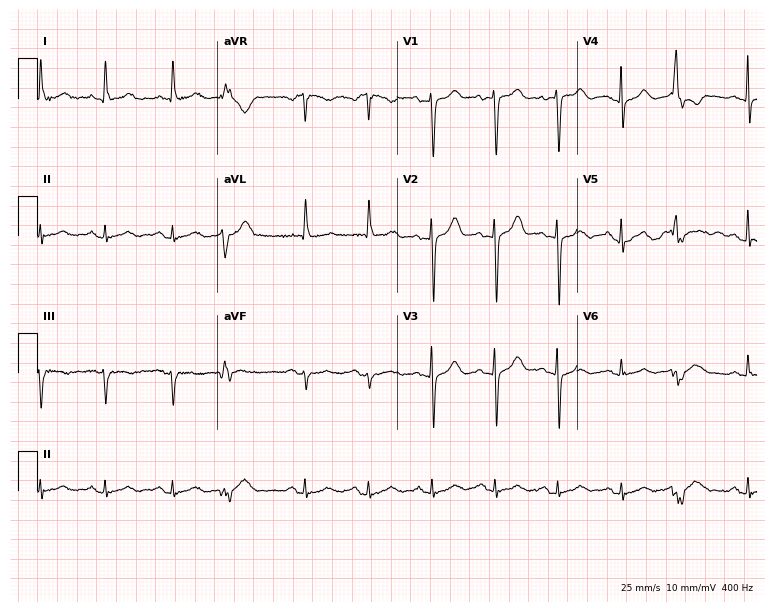
Standard 12-lead ECG recorded from a 70-year-old woman. None of these six findings is recorded: first-degree AV block, right bundle branch block, left bundle branch block, sinus bradycardia, atrial fibrillation, sinus tachycardia. Other findings, if any, are not listed.